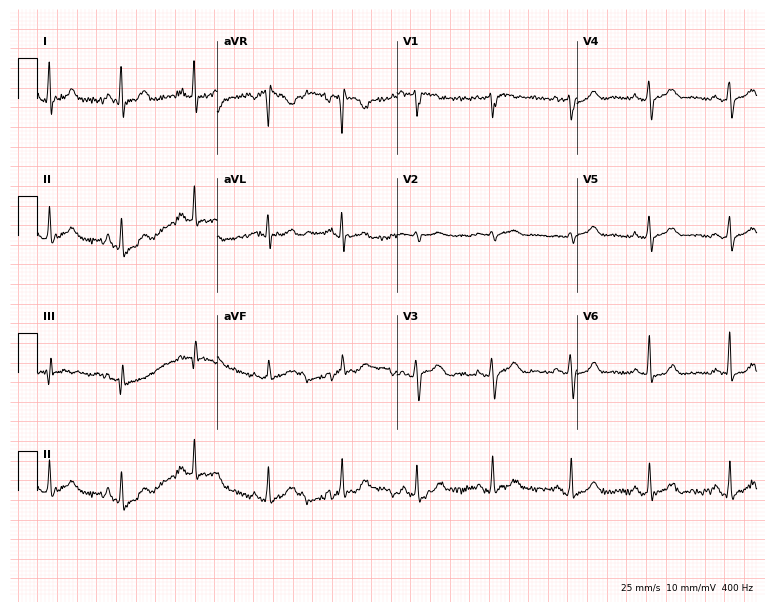
12-lead ECG from a 55-year-old woman (7.3-second recording at 400 Hz). Recorded interpretation: within normal limits.